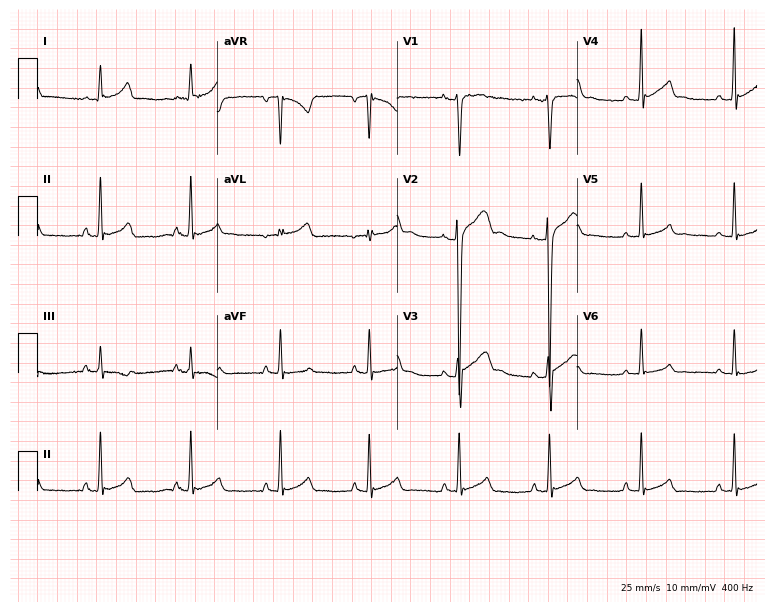
Resting 12-lead electrocardiogram (7.3-second recording at 400 Hz). Patient: a 17-year-old male. Read as a normal ECG.